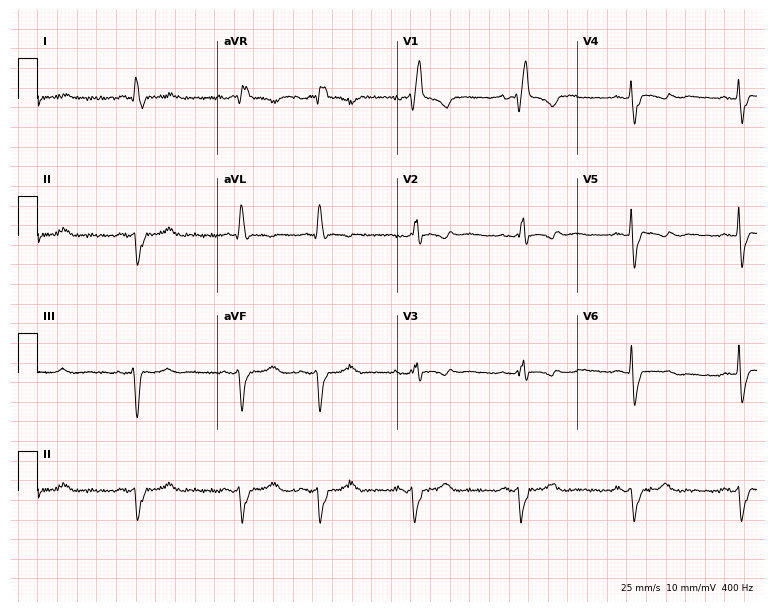
12-lead ECG from a male, 68 years old. Findings include right bundle branch block.